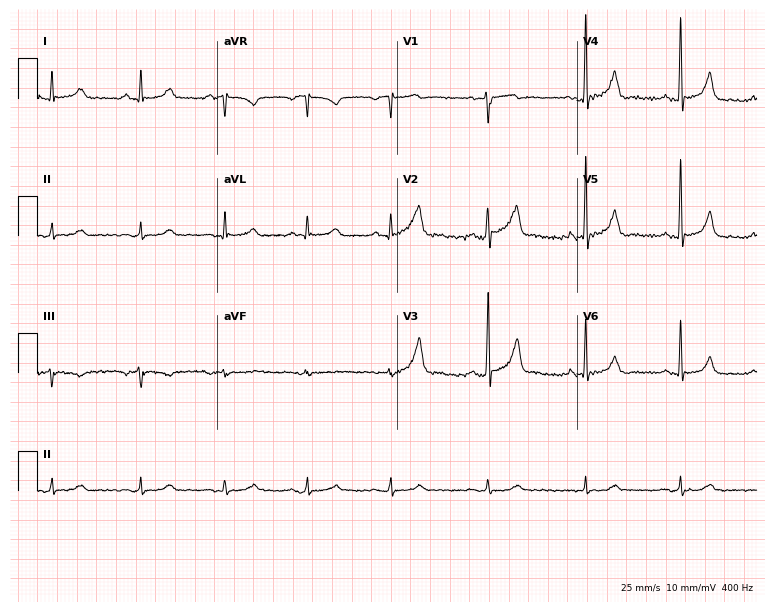
Resting 12-lead electrocardiogram (7.3-second recording at 400 Hz). Patient: a male, 61 years old. None of these six findings is recorded: first-degree AV block, right bundle branch block, left bundle branch block, sinus bradycardia, atrial fibrillation, sinus tachycardia.